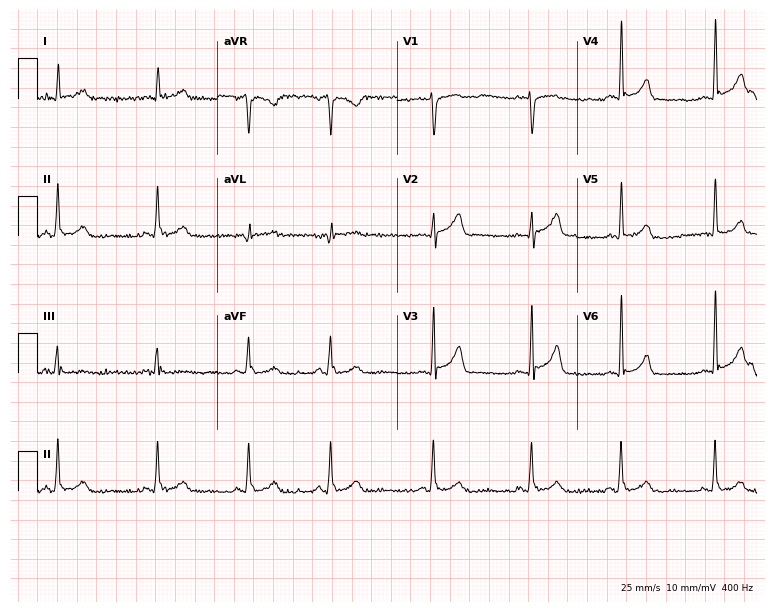
12-lead ECG (7.3-second recording at 400 Hz) from a 57-year-old male. Screened for six findings — first-degree AV block, right bundle branch block, left bundle branch block, sinus bradycardia, atrial fibrillation, sinus tachycardia — none is recorded.